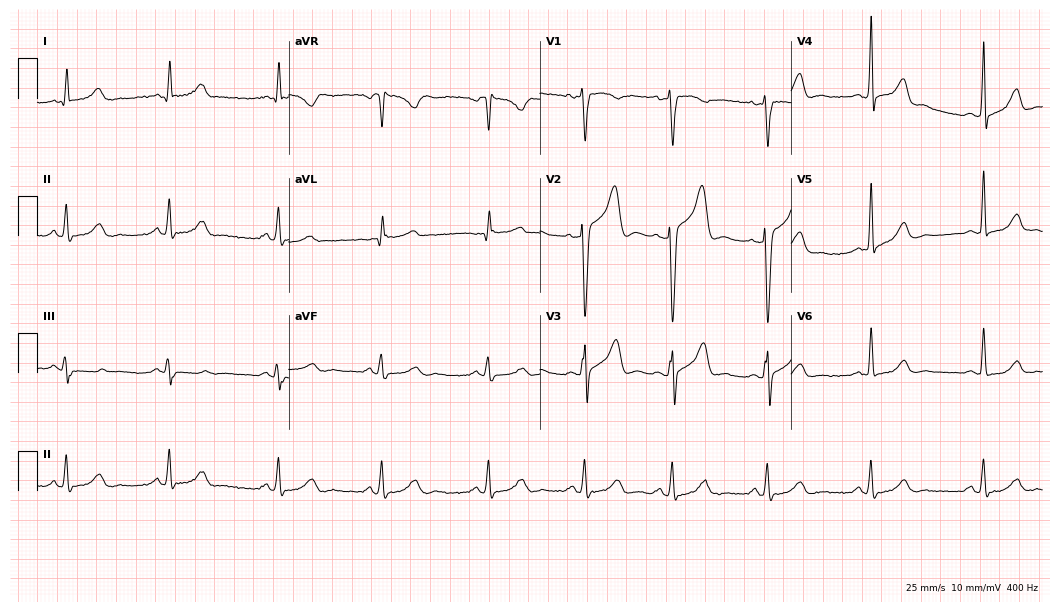
Electrocardiogram (10.2-second recording at 400 Hz), a man, 37 years old. Of the six screened findings (first-degree AV block, right bundle branch block, left bundle branch block, sinus bradycardia, atrial fibrillation, sinus tachycardia), none is recorded. Other findings, if any, are not listed.